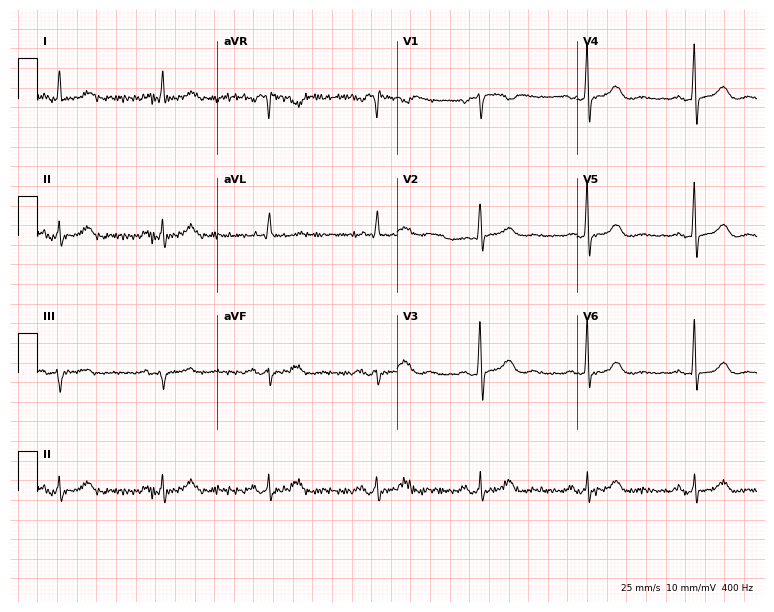
Electrocardiogram (7.3-second recording at 400 Hz), a female, 62 years old. Overall reading on record: normal ECG.